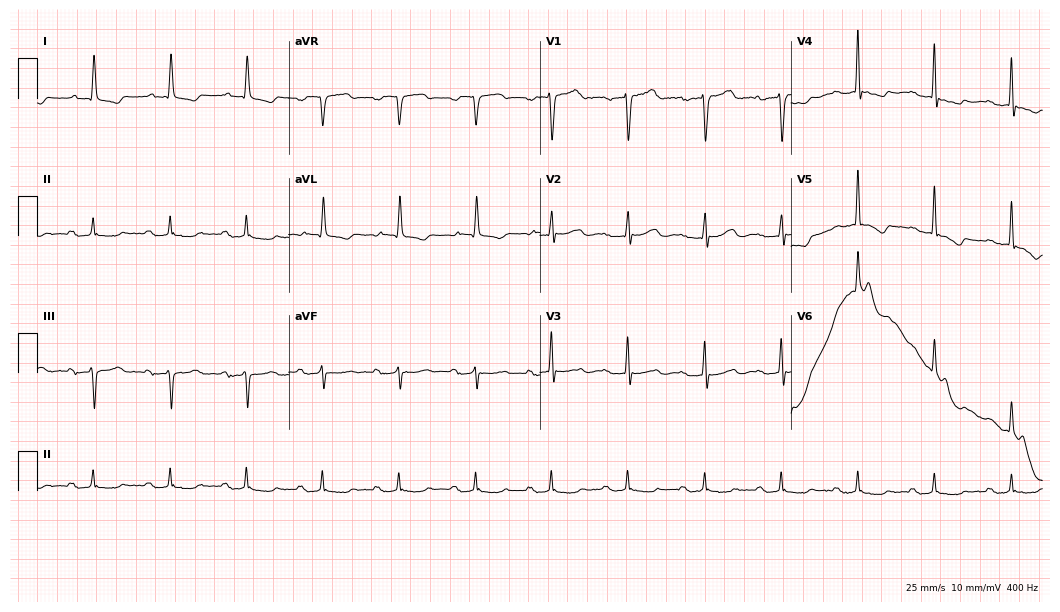
Standard 12-lead ECG recorded from a woman, 82 years old. The tracing shows first-degree AV block.